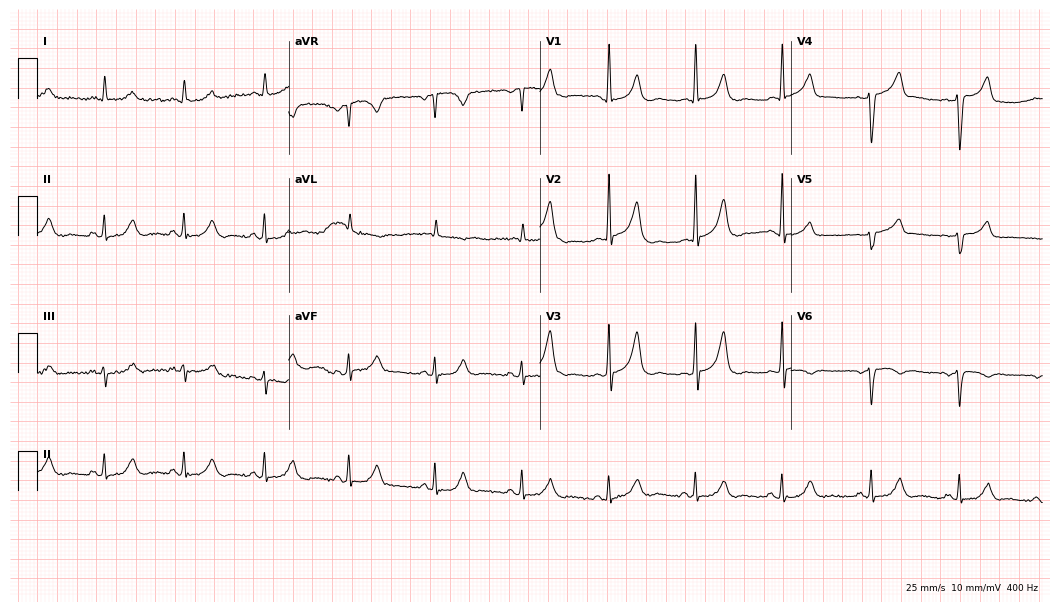
12-lead ECG (10.2-second recording at 400 Hz) from an 85-year-old female. Screened for six findings — first-degree AV block, right bundle branch block (RBBB), left bundle branch block (LBBB), sinus bradycardia, atrial fibrillation (AF), sinus tachycardia — none is recorded.